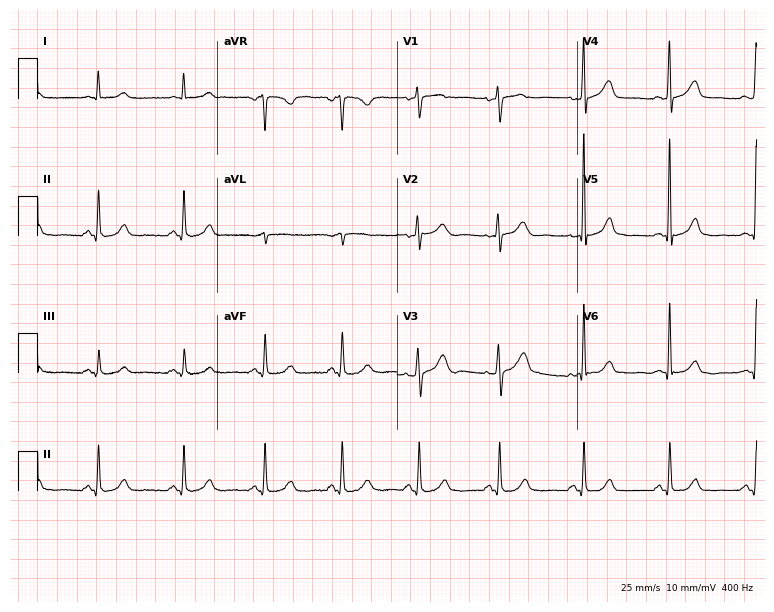
Standard 12-lead ECG recorded from a 53-year-old female (7.3-second recording at 400 Hz). Read as a normal ECG.